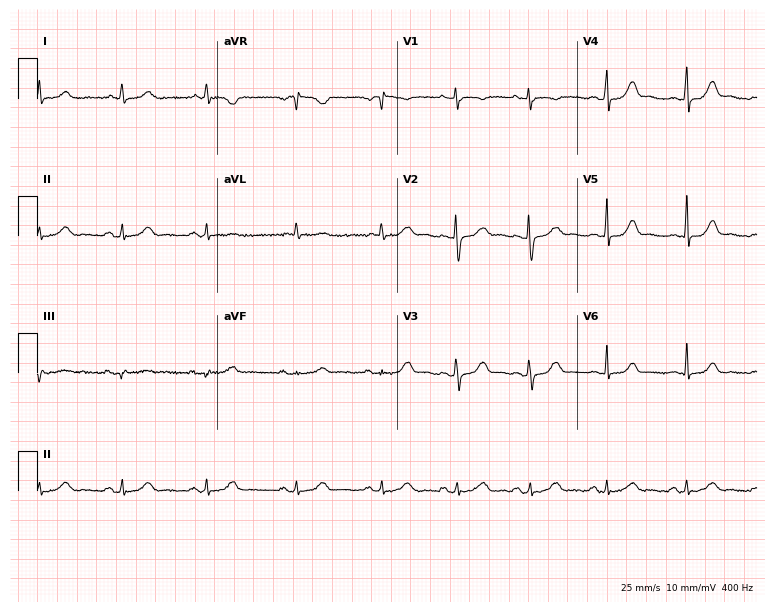
Standard 12-lead ECG recorded from a 39-year-old woman (7.3-second recording at 400 Hz). Read as a normal ECG.